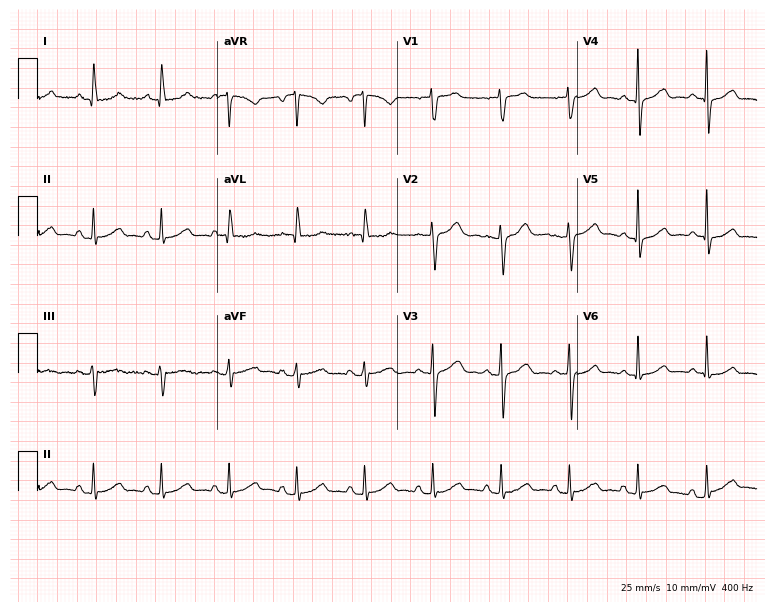
12-lead ECG from a female, 84 years old (7.3-second recording at 400 Hz). Recorded interpretation: within normal limits.